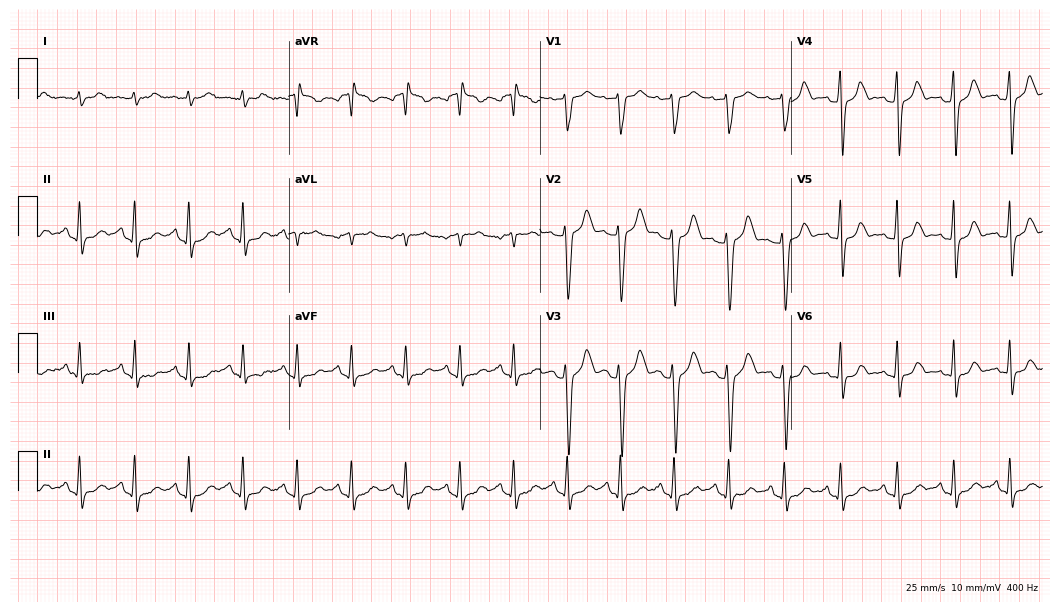
12-lead ECG from a female patient, 43 years old. Shows sinus tachycardia (a sinus rate of 100 beats per minute or more).